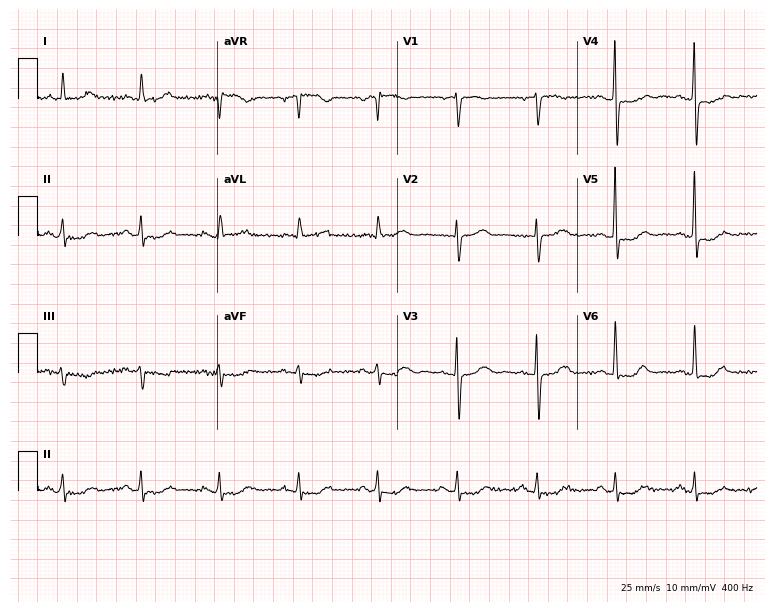
ECG — an 81-year-old female patient. Screened for six findings — first-degree AV block, right bundle branch block (RBBB), left bundle branch block (LBBB), sinus bradycardia, atrial fibrillation (AF), sinus tachycardia — none is recorded.